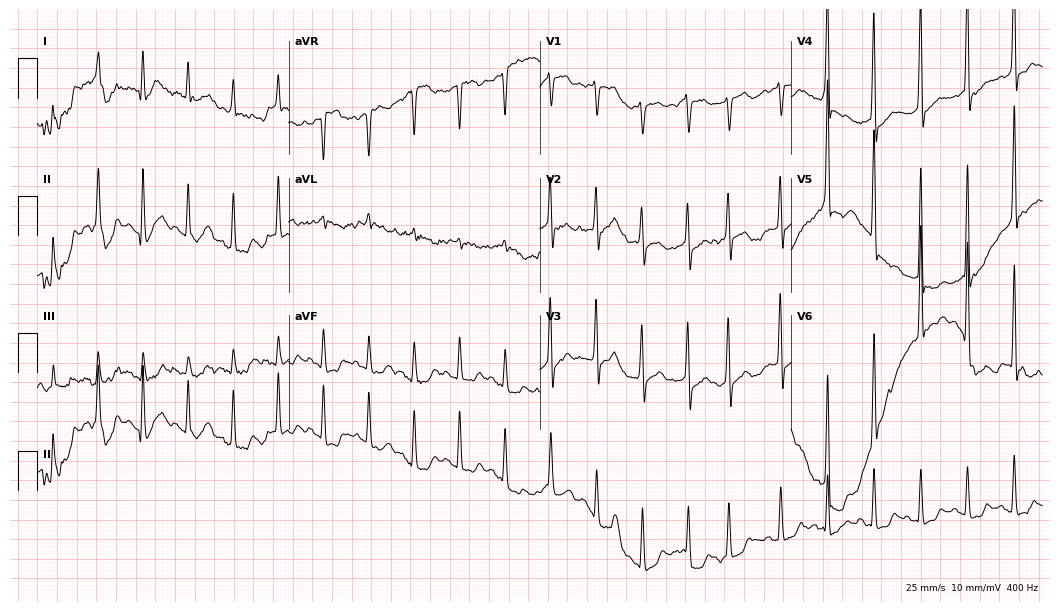
Standard 12-lead ECG recorded from a man, 84 years old. The tracing shows sinus tachycardia (a sinus rate of 100 beats per minute or more).